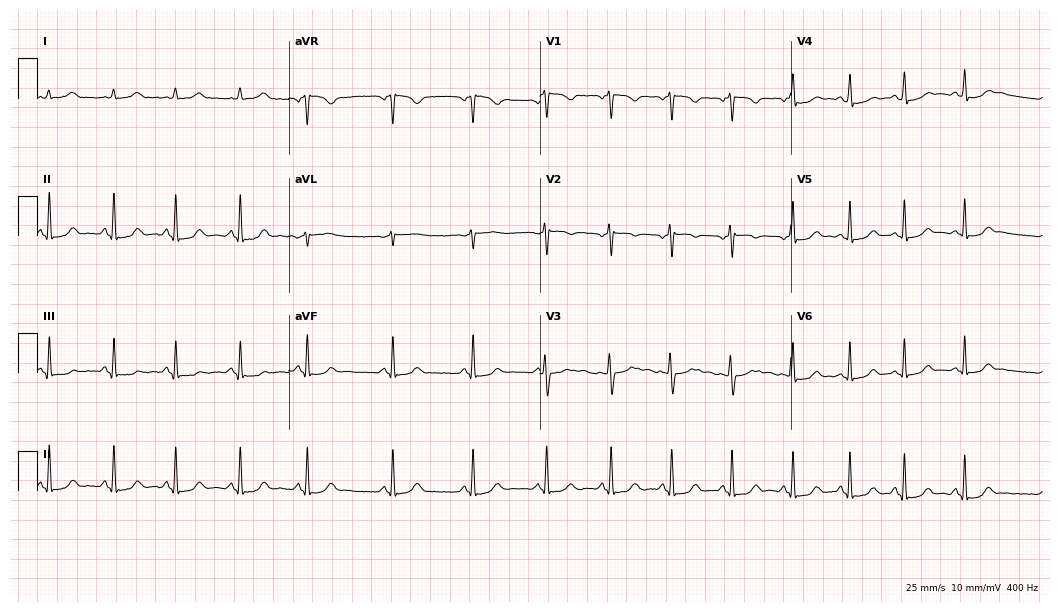
Resting 12-lead electrocardiogram (10.2-second recording at 400 Hz). Patient: a woman, 25 years old. Read as a normal ECG.